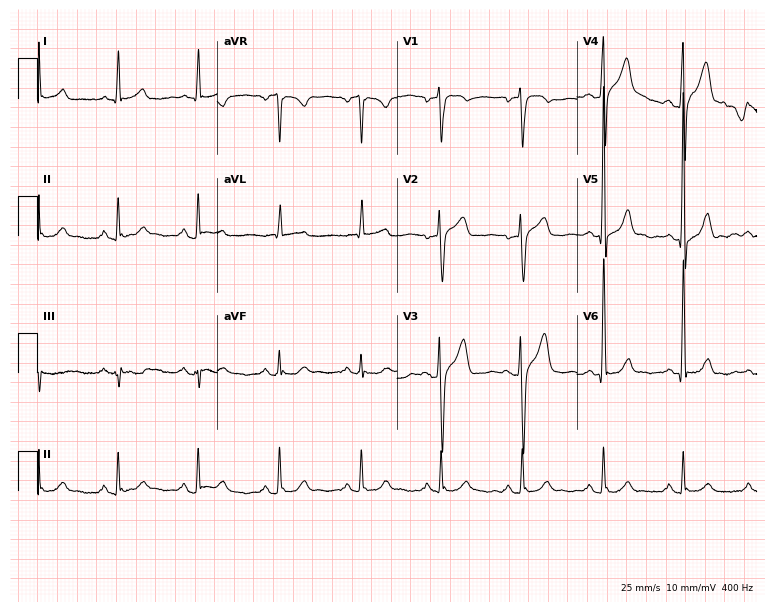
12-lead ECG from a man, 64 years old (7.3-second recording at 400 Hz). No first-degree AV block, right bundle branch block (RBBB), left bundle branch block (LBBB), sinus bradycardia, atrial fibrillation (AF) or sinus tachycardia recorded for this tracing. Other findings, if any, are not listed.